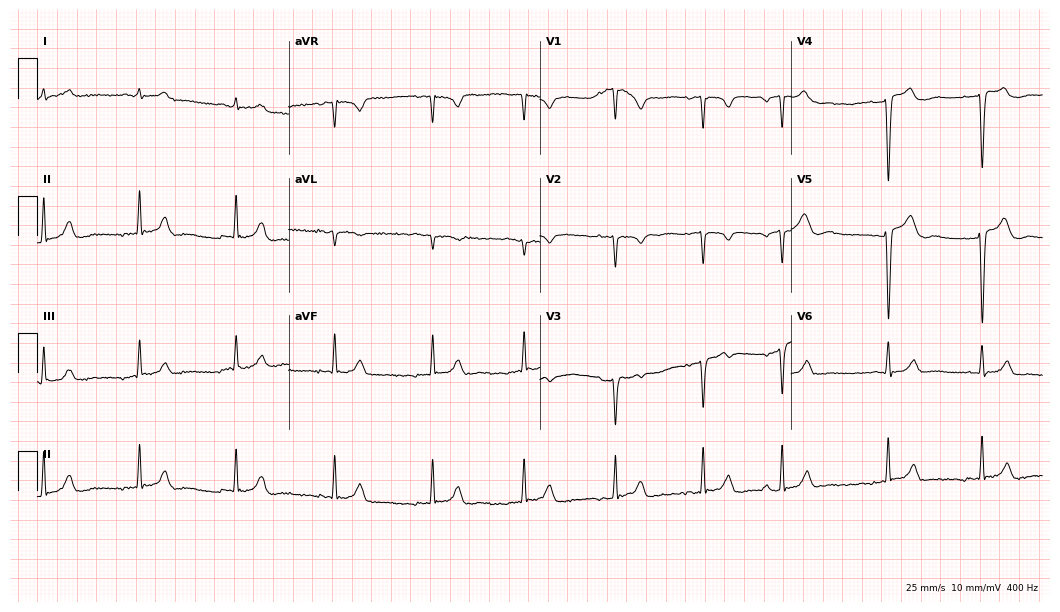
Resting 12-lead electrocardiogram. Patient: a 24-year-old male. None of these six findings is recorded: first-degree AV block, right bundle branch block, left bundle branch block, sinus bradycardia, atrial fibrillation, sinus tachycardia. Only these six findings were labelled.